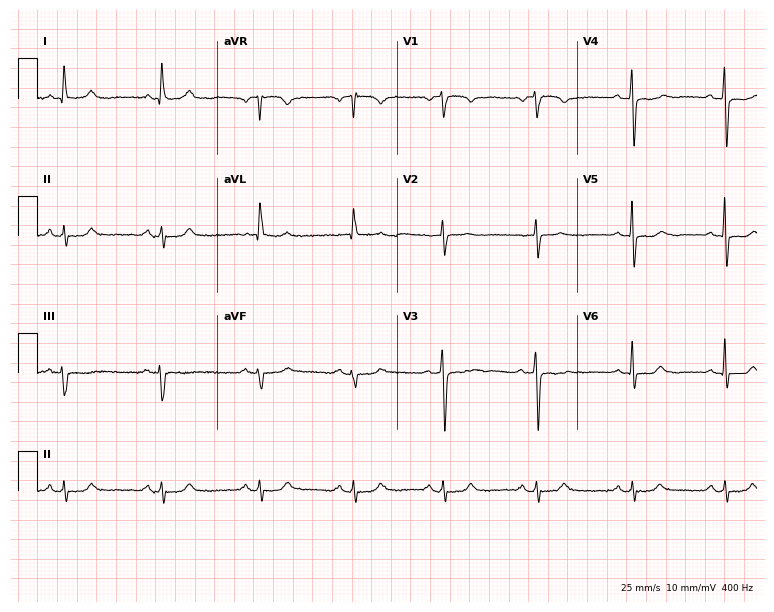
12-lead ECG from a female patient, 68 years old. Screened for six findings — first-degree AV block, right bundle branch block, left bundle branch block, sinus bradycardia, atrial fibrillation, sinus tachycardia — none is recorded. Other findings, if any, are not listed.